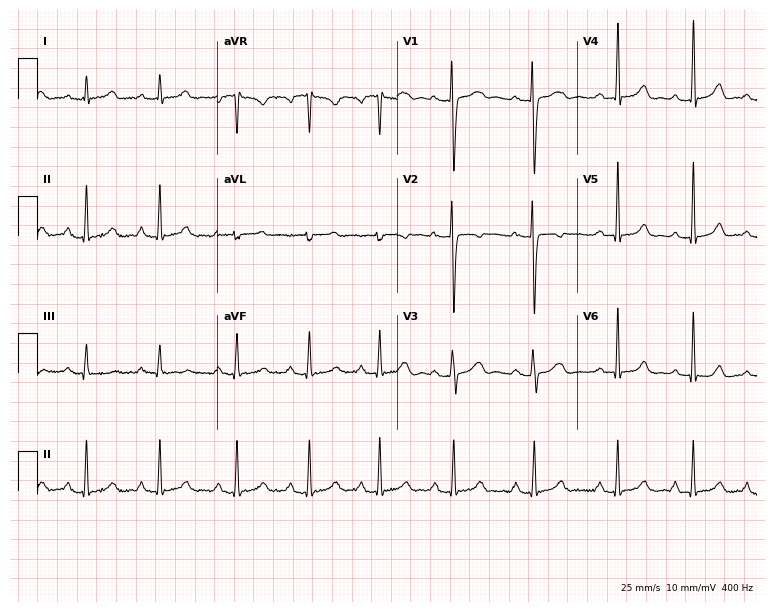
Resting 12-lead electrocardiogram. Patient: a female, 19 years old. None of these six findings is recorded: first-degree AV block, right bundle branch block, left bundle branch block, sinus bradycardia, atrial fibrillation, sinus tachycardia. Other findings, if any, are not listed.